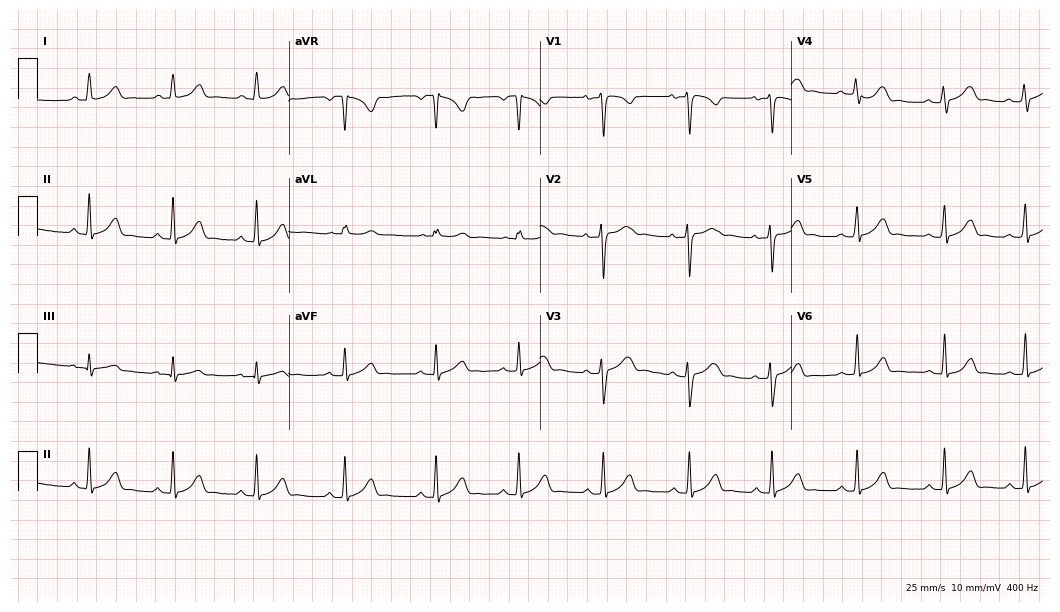
12-lead ECG (10.2-second recording at 400 Hz) from a woman, 20 years old. Labelled as a normal ECG.